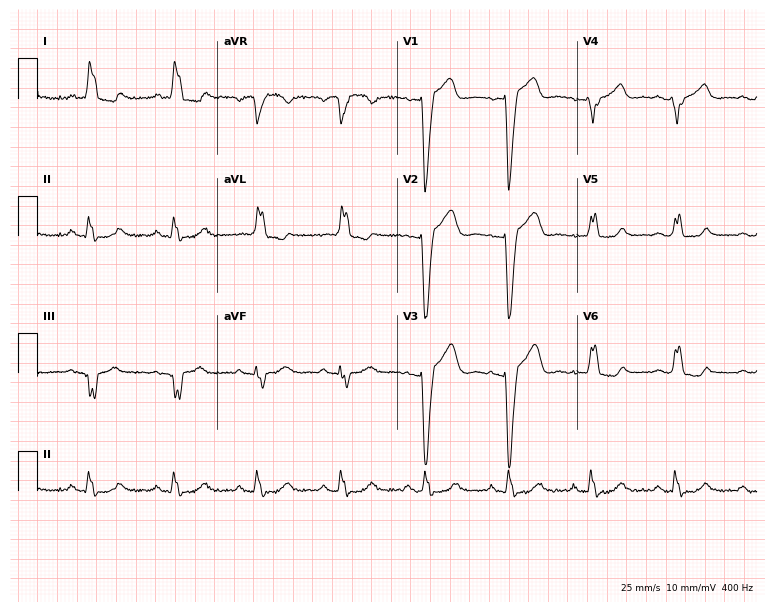
12-lead ECG from a 55-year-old female (7.3-second recording at 400 Hz). Shows left bundle branch block.